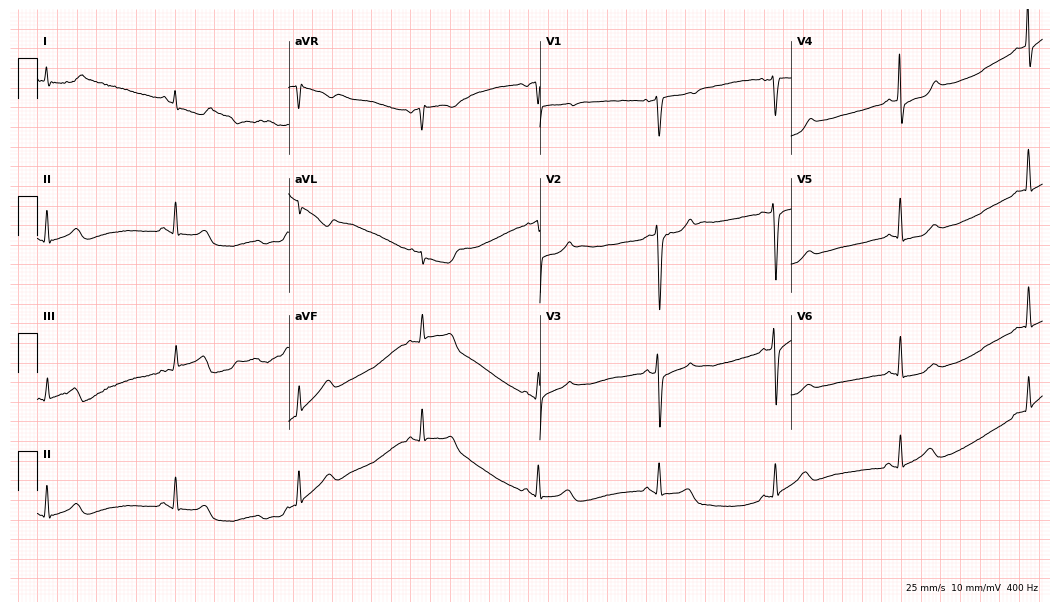
Standard 12-lead ECG recorded from a 65-year-old male patient (10.2-second recording at 400 Hz). None of these six findings is recorded: first-degree AV block, right bundle branch block, left bundle branch block, sinus bradycardia, atrial fibrillation, sinus tachycardia. Findings outside these six are not listed.